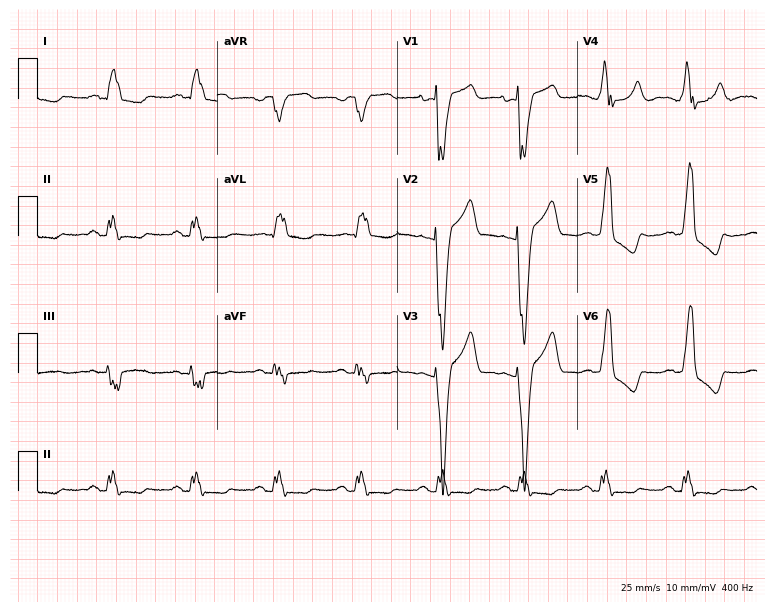
12-lead ECG (7.3-second recording at 400 Hz) from a woman, 54 years old. Findings include left bundle branch block.